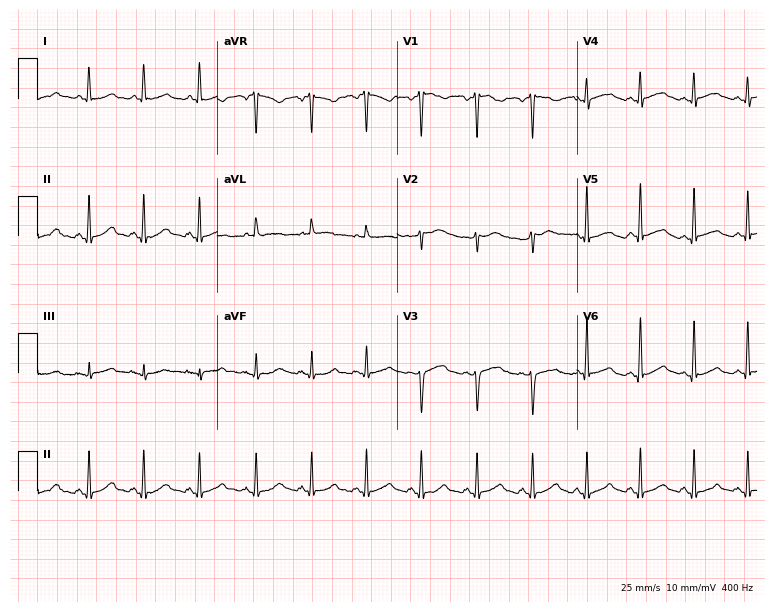
12-lead ECG (7.3-second recording at 400 Hz) from a 39-year-old female. Screened for six findings — first-degree AV block, right bundle branch block, left bundle branch block, sinus bradycardia, atrial fibrillation, sinus tachycardia — none is recorded.